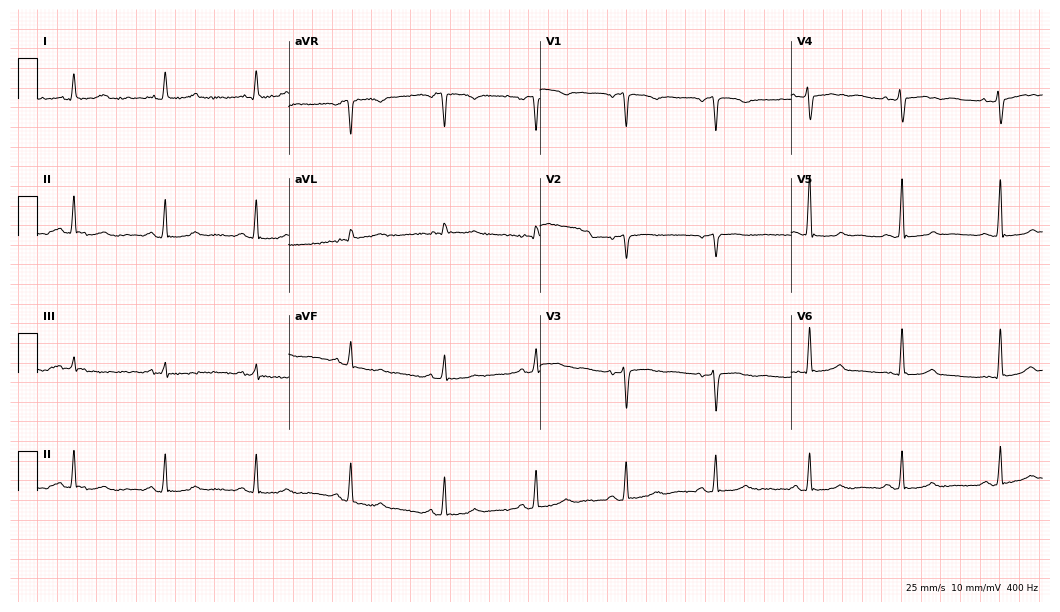
12-lead ECG from a female patient, 53 years old (10.2-second recording at 400 Hz). No first-degree AV block, right bundle branch block (RBBB), left bundle branch block (LBBB), sinus bradycardia, atrial fibrillation (AF) or sinus tachycardia recorded for this tracing. Other findings, if any, are not listed.